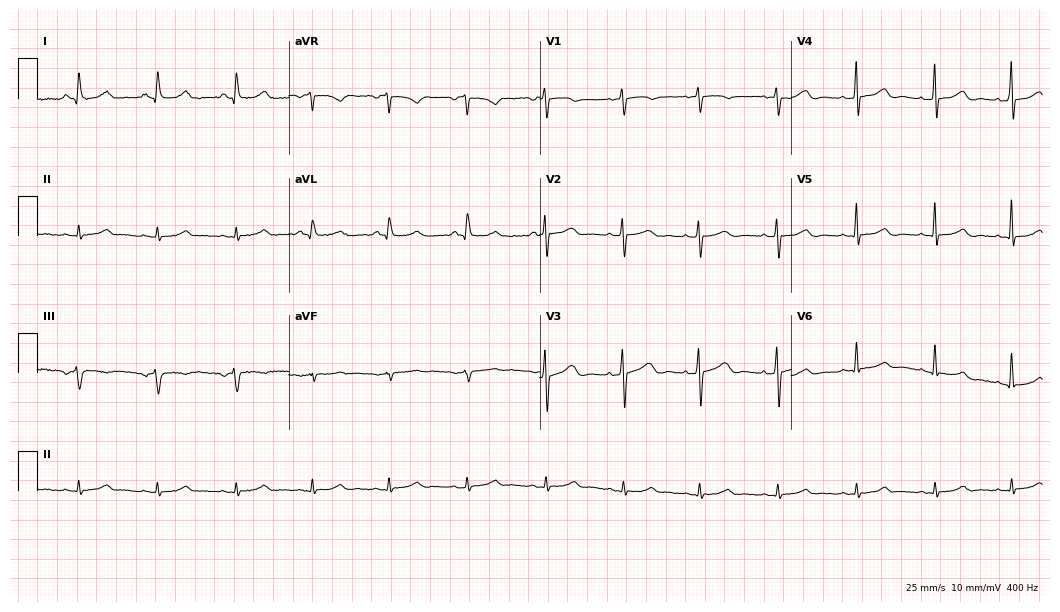
ECG (10.2-second recording at 400 Hz) — a 76-year-old female patient. Screened for six findings — first-degree AV block, right bundle branch block, left bundle branch block, sinus bradycardia, atrial fibrillation, sinus tachycardia — none is recorded.